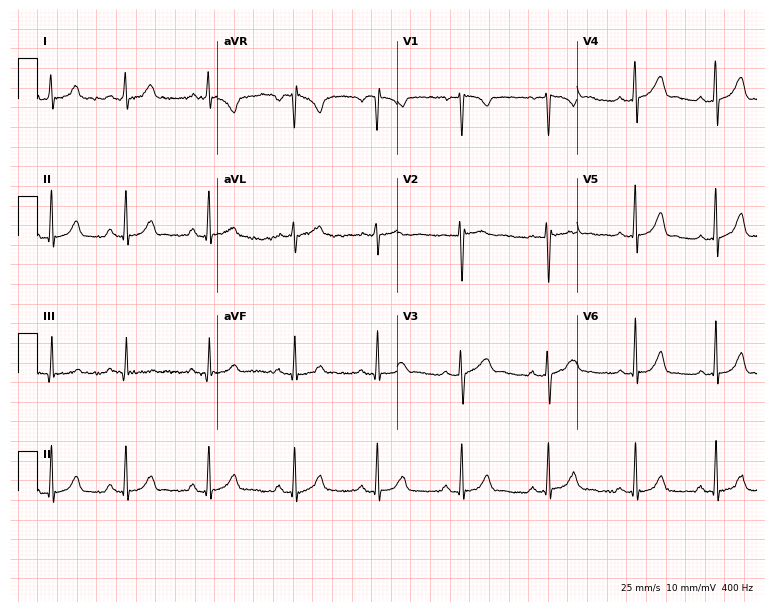
ECG (7.3-second recording at 400 Hz) — a woman, 20 years old. Labelled as a normal ECG.